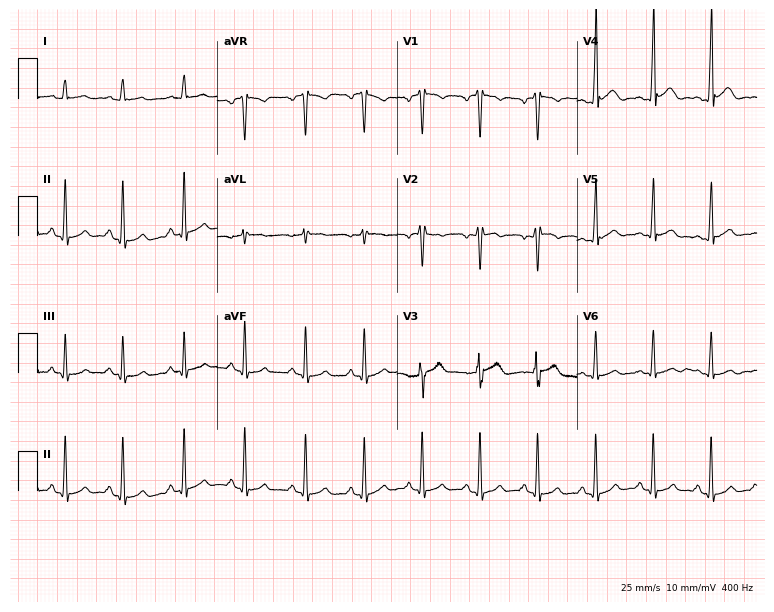
Resting 12-lead electrocardiogram. Patient: a 26-year-old man. Read as a normal ECG.